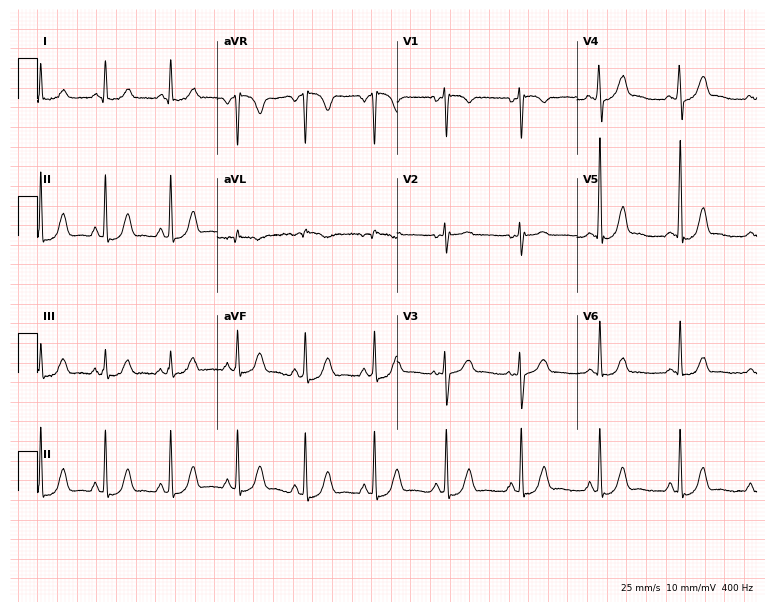
12-lead ECG (7.3-second recording at 400 Hz) from a 25-year-old female. Labelled as a normal ECG.